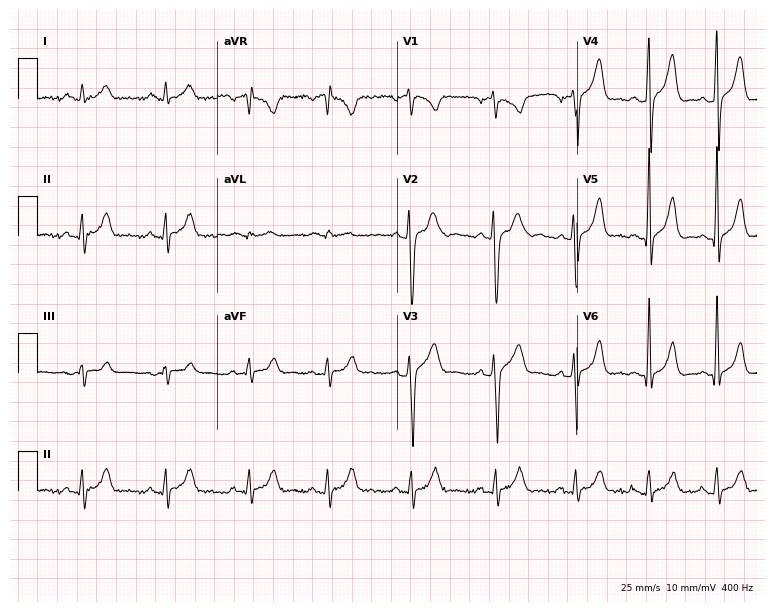
12-lead ECG from a 21-year-old male. Labelled as a normal ECG.